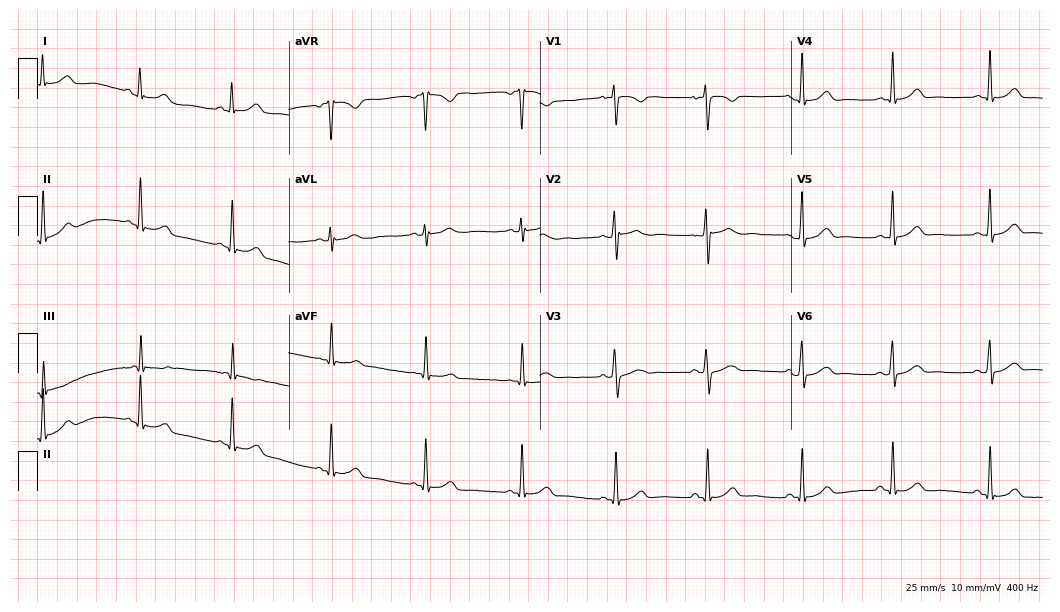
Standard 12-lead ECG recorded from a 23-year-old female patient. Read as a normal ECG.